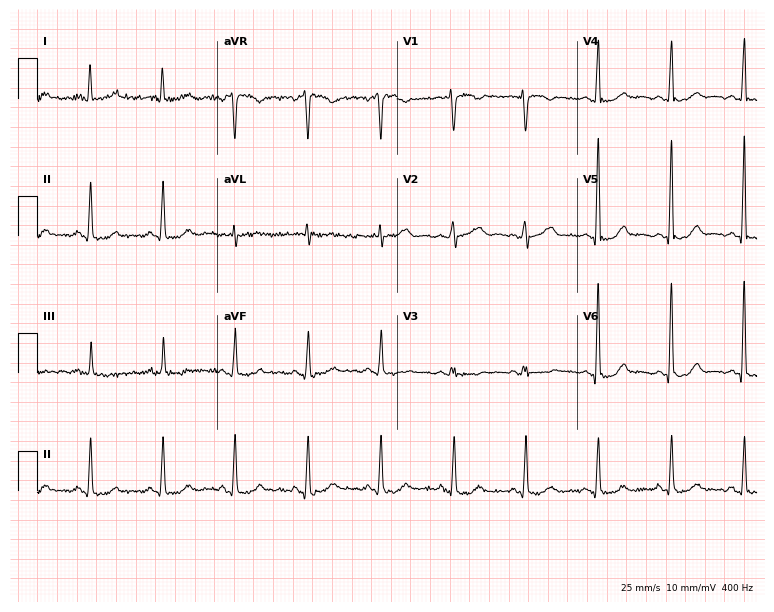
ECG — a 55-year-old female patient. Screened for six findings — first-degree AV block, right bundle branch block, left bundle branch block, sinus bradycardia, atrial fibrillation, sinus tachycardia — none is recorded. Other findings, if any, are not listed.